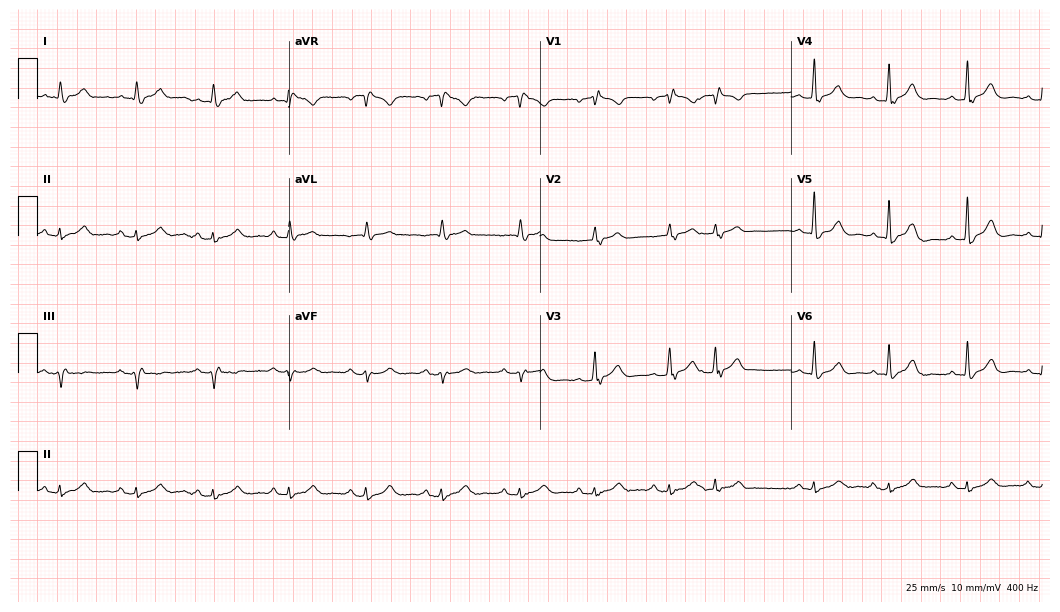
Resting 12-lead electrocardiogram (10.2-second recording at 400 Hz). Patient: a man, 80 years old. None of these six findings is recorded: first-degree AV block, right bundle branch block, left bundle branch block, sinus bradycardia, atrial fibrillation, sinus tachycardia. Only these six findings were labelled.